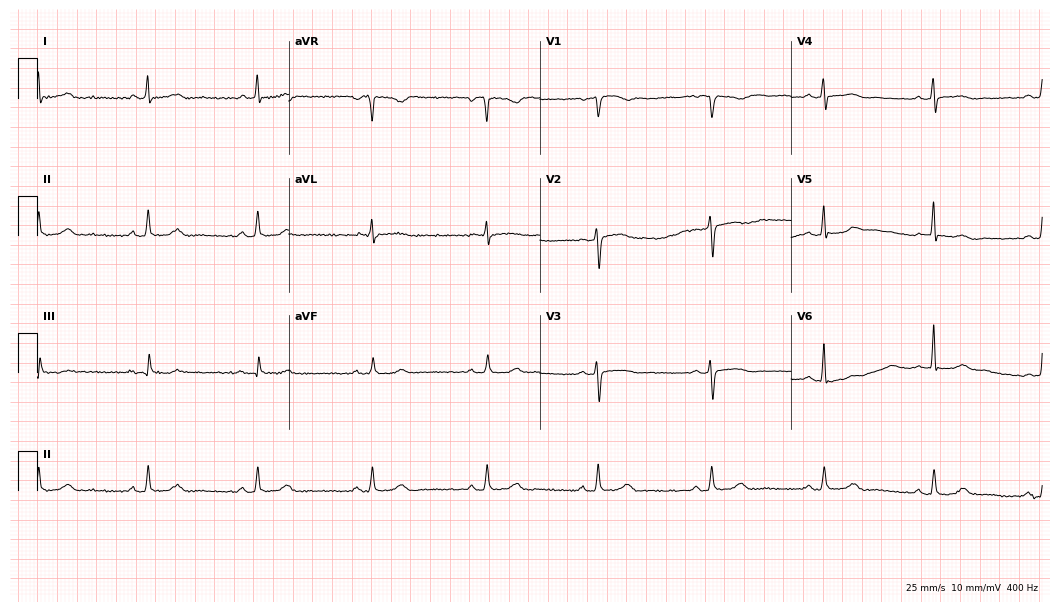
12-lead ECG from a 55-year-old female. Recorded interpretation: within normal limits.